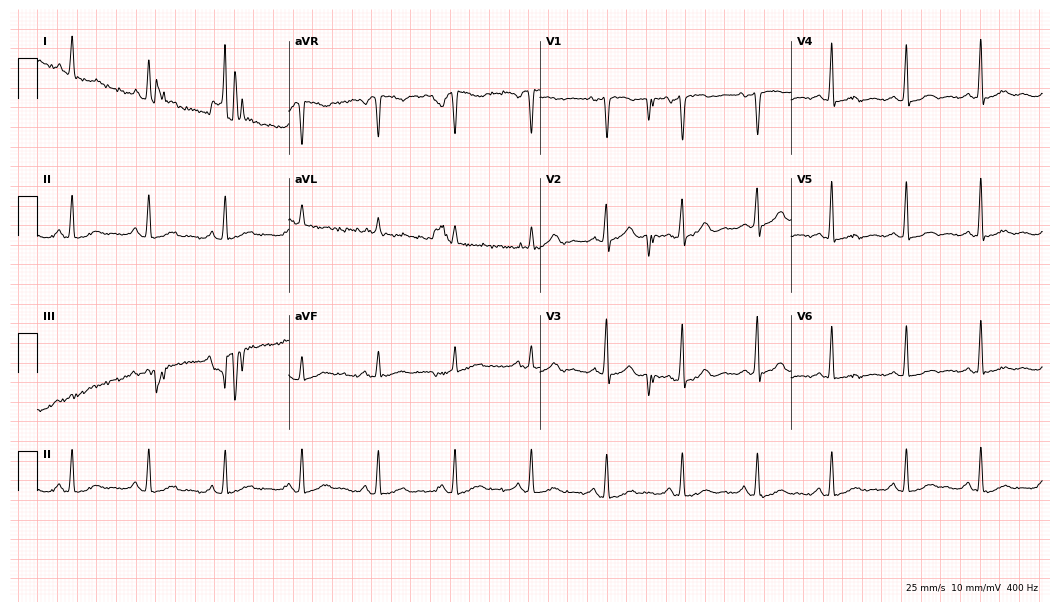
Resting 12-lead electrocardiogram (10.2-second recording at 400 Hz). Patient: a 47-year-old male. None of these six findings is recorded: first-degree AV block, right bundle branch block, left bundle branch block, sinus bradycardia, atrial fibrillation, sinus tachycardia.